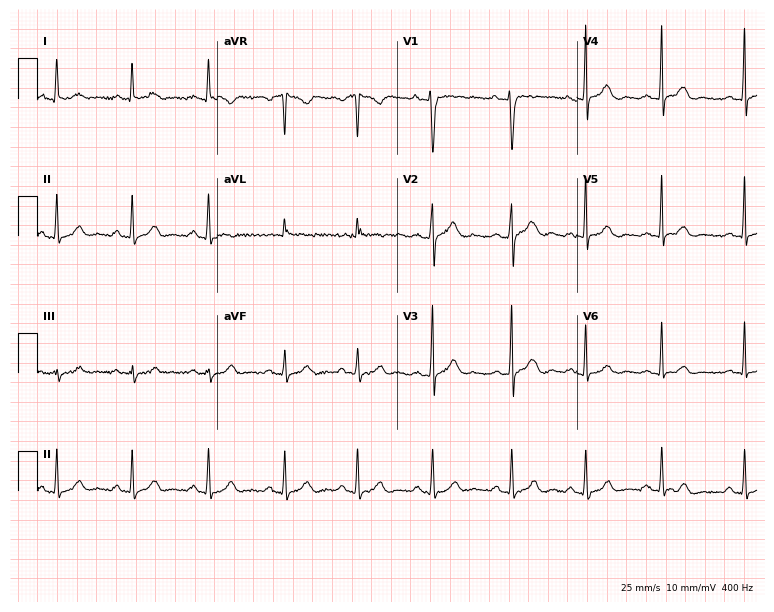
Standard 12-lead ECG recorded from a woman, 23 years old (7.3-second recording at 400 Hz). Read as a normal ECG.